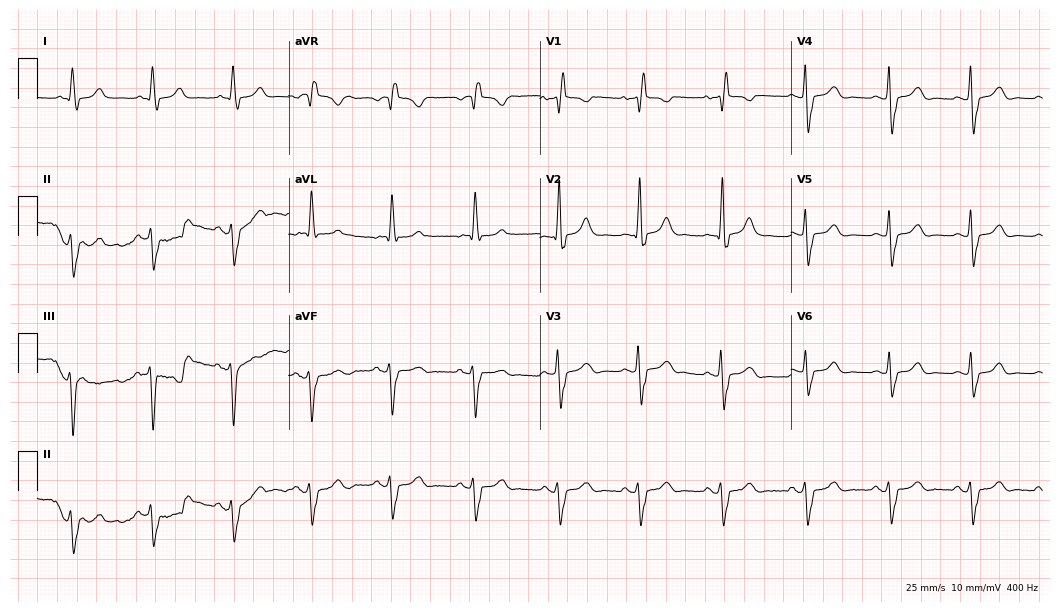
ECG (10.2-second recording at 400 Hz) — a female, 75 years old. Findings include right bundle branch block.